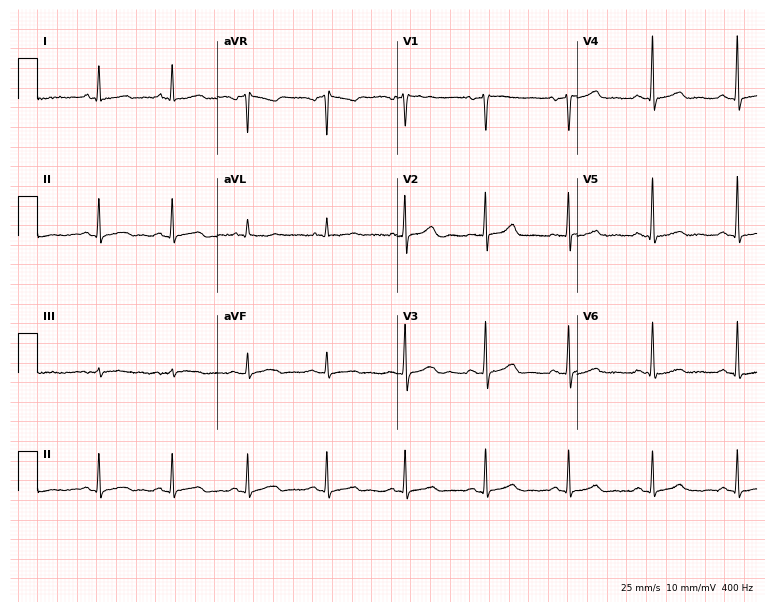
Resting 12-lead electrocardiogram (7.3-second recording at 400 Hz). Patient: a female, 75 years old. None of these six findings is recorded: first-degree AV block, right bundle branch block (RBBB), left bundle branch block (LBBB), sinus bradycardia, atrial fibrillation (AF), sinus tachycardia. Findings outside these six are not listed.